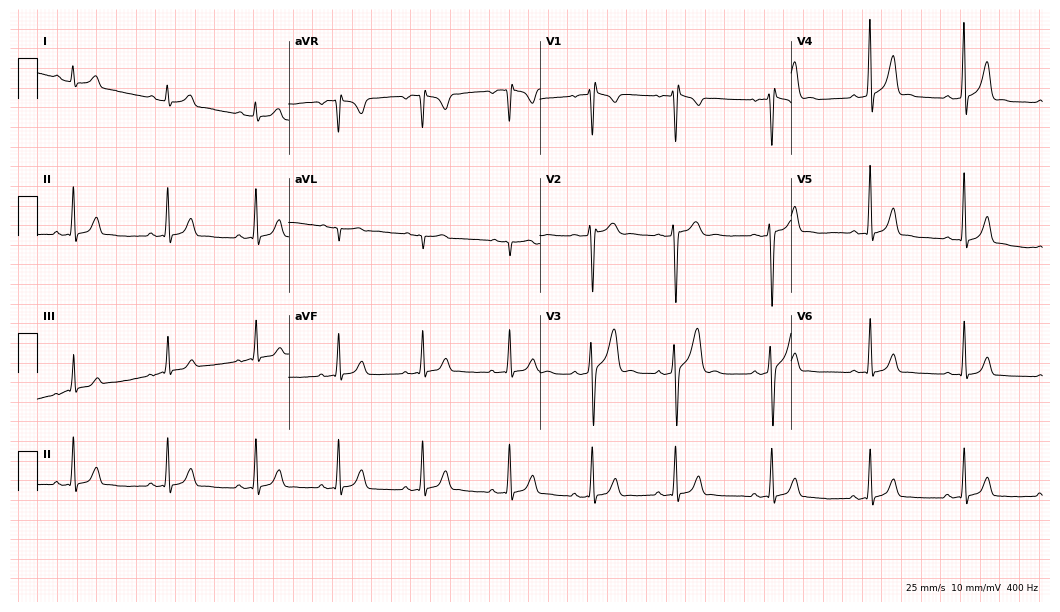
ECG — a male patient, 17 years old. Screened for six findings — first-degree AV block, right bundle branch block, left bundle branch block, sinus bradycardia, atrial fibrillation, sinus tachycardia — none is recorded. Other findings, if any, are not listed.